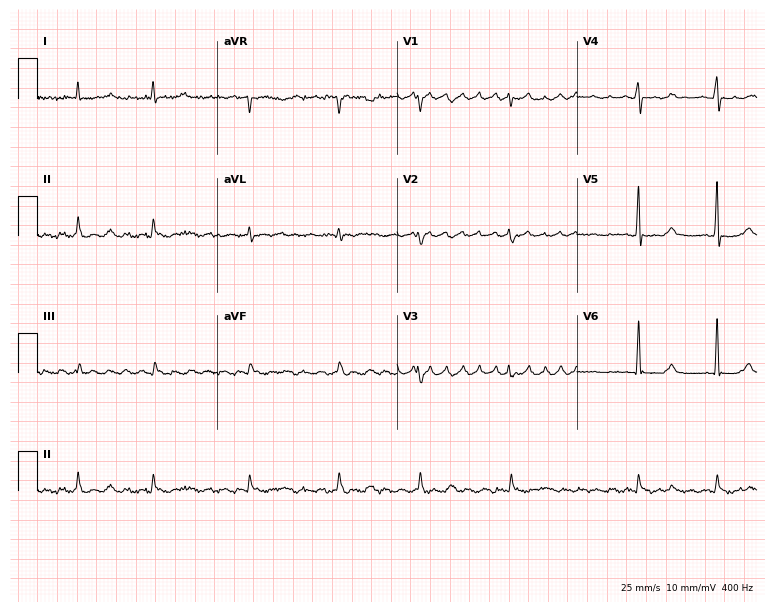
Resting 12-lead electrocardiogram. Patient: a woman, 71 years old. The tracing shows atrial fibrillation (AF).